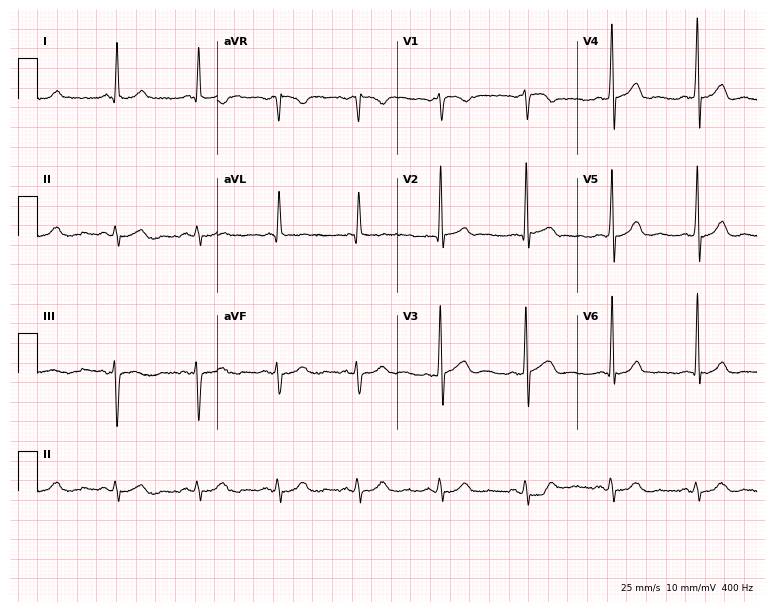
Standard 12-lead ECG recorded from a 68-year-old male (7.3-second recording at 400 Hz). Read as a normal ECG.